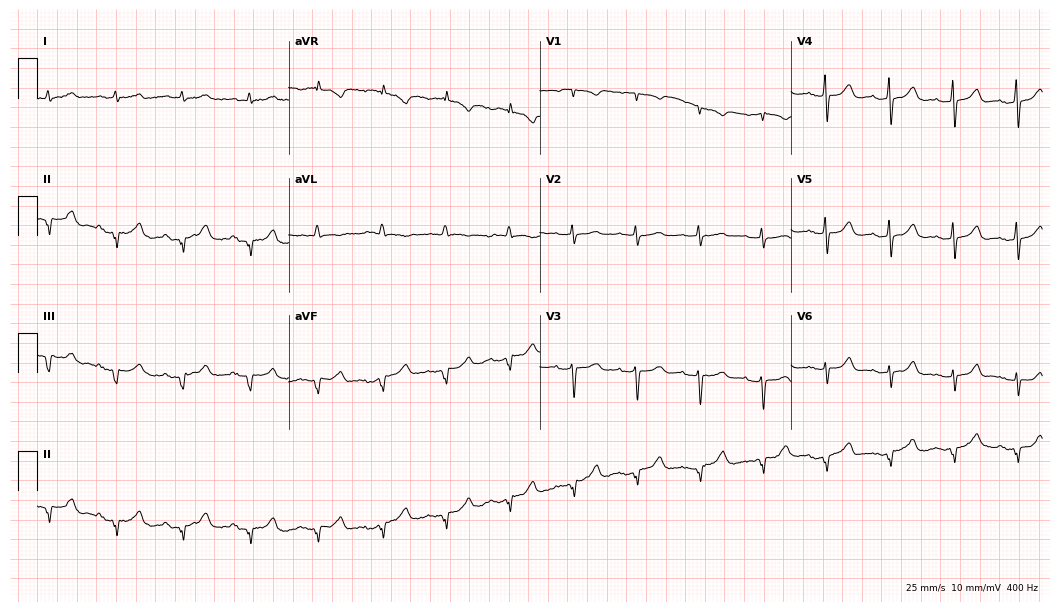
12-lead ECG from a woman, 68 years old (10.2-second recording at 400 Hz). No first-degree AV block, right bundle branch block (RBBB), left bundle branch block (LBBB), sinus bradycardia, atrial fibrillation (AF) or sinus tachycardia recorded for this tracing.